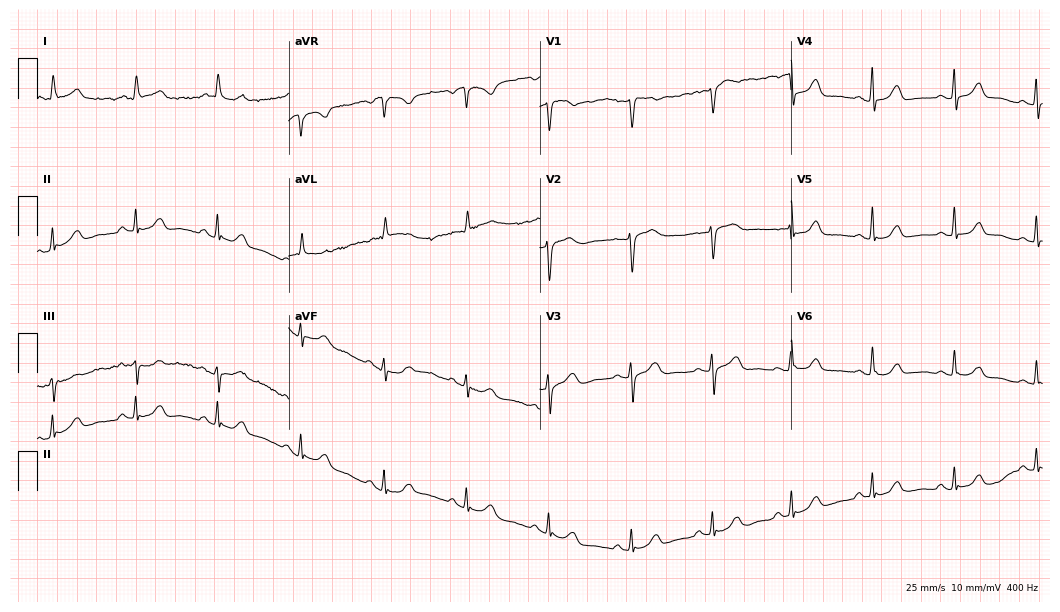
Resting 12-lead electrocardiogram (10.2-second recording at 400 Hz). Patient: a 67-year-old female. None of these six findings is recorded: first-degree AV block, right bundle branch block, left bundle branch block, sinus bradycardia, atrial fibrillation, sinus tachycardia.